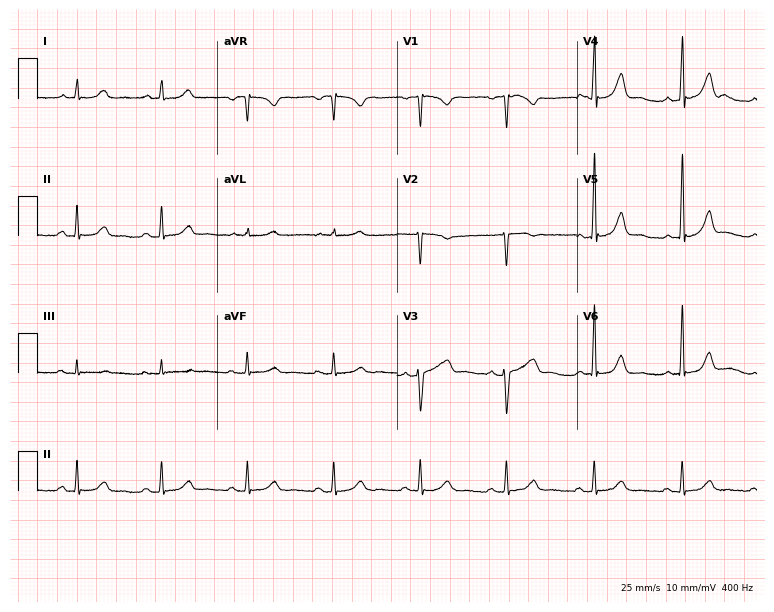
Electrocardiogram, a woman, 50 years old. Of the six screened findings (first-degree AV block, right bundle branch block (RBBB), left bundle branch block (LBBB), sinus bradycardia, atrial fibrillation (AF), sinus tachycardia), none is recorded. Other findings, if any, are not listed.